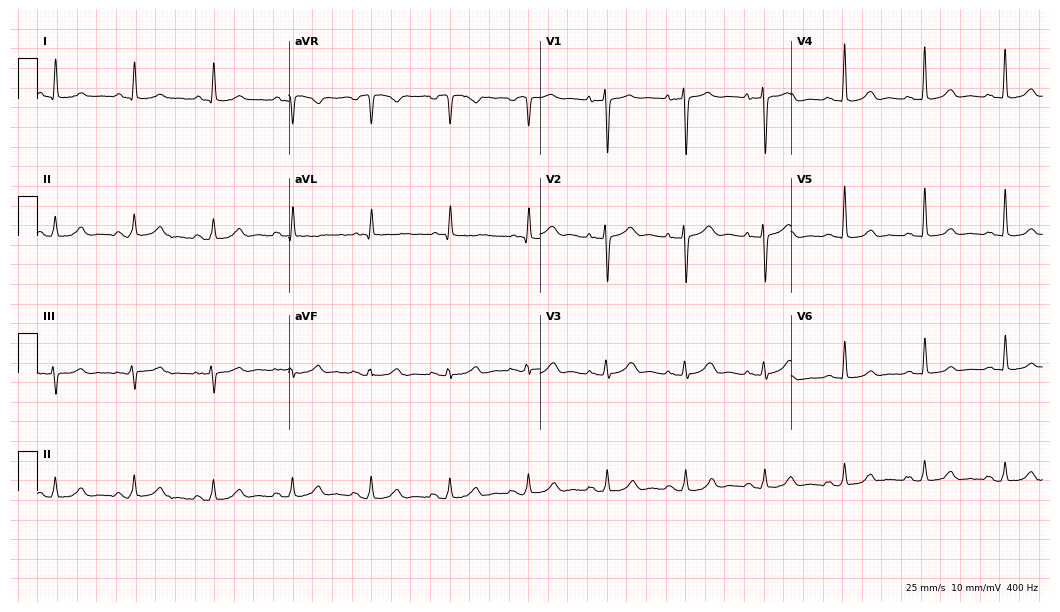
12-lead ECG (10.2-second recording at 400 Hz) from a woman, 76 years old. Labelled as a normal ECG.